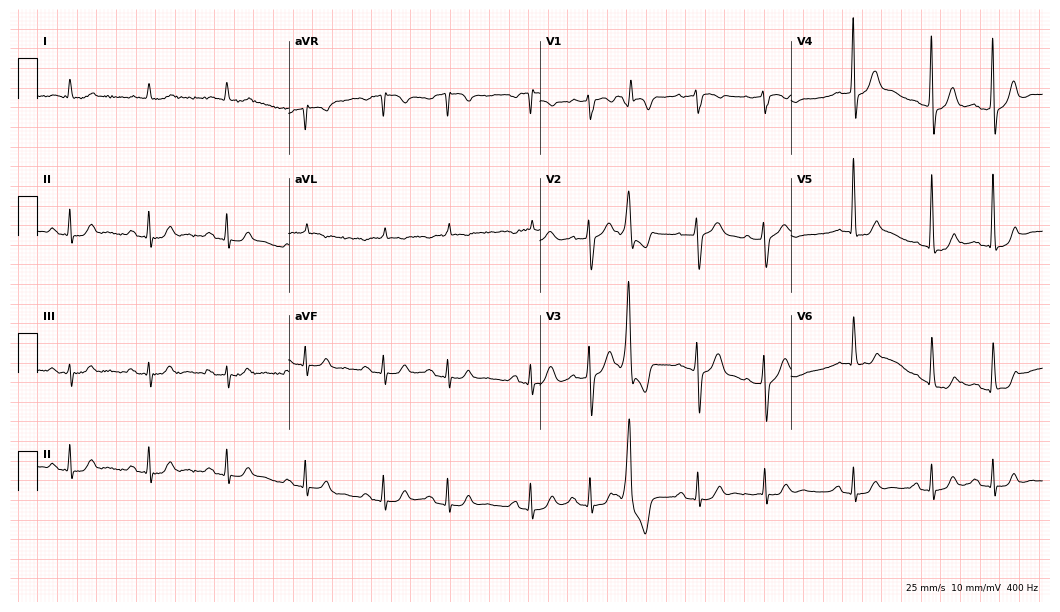
Electrocardiogram, a 77-year-old male patient. Overall reading on record: normal ECG.